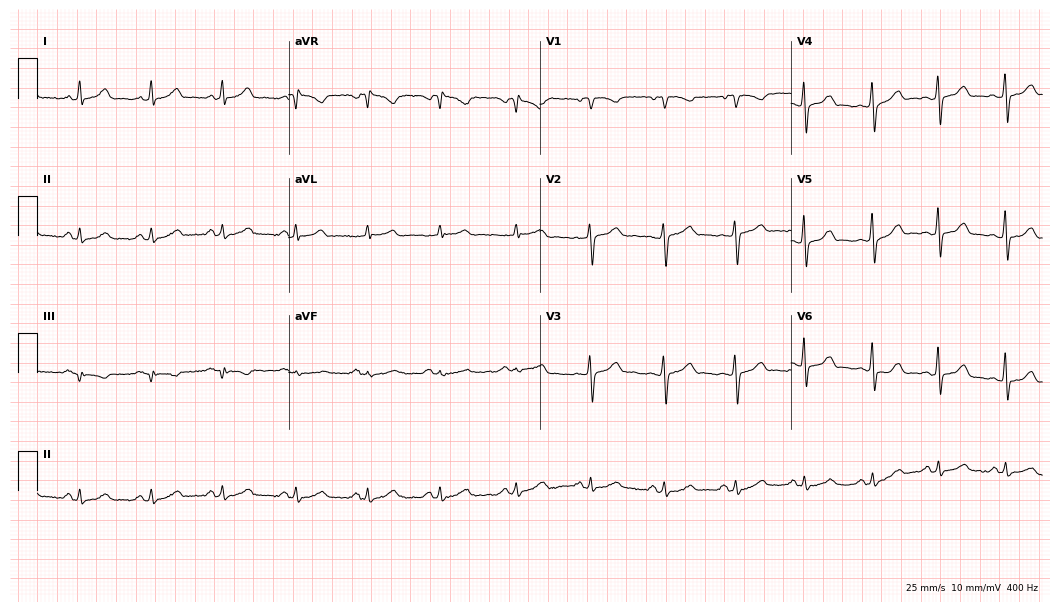
Resting 12-lead electrocardiogram (10.2-second recording at 400 Hz). Patient: a woman, 44 years old. Read as a normal ECG.